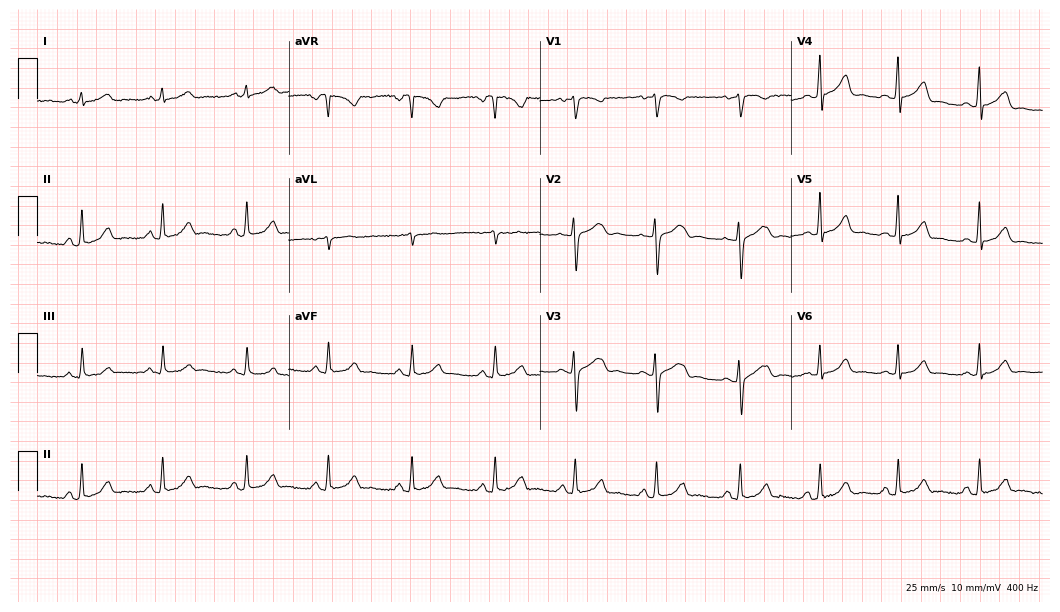
ECG (10.2-second recording at 400 Hz) — a 23-year-old female patient. Labelled as a normal ECG.